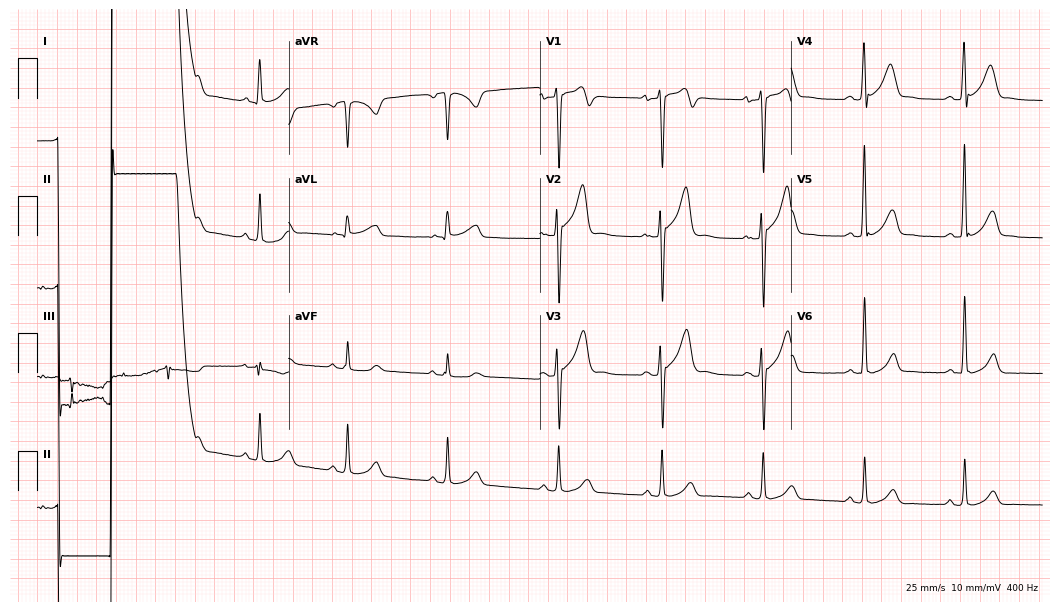
Electrocardiogram, a man, 32 years old. Of the six screened findings (first-degree AV block, right bundle branch block, left bundle branch block, sinus bradycardia, atrial fibrillation, sinus tachycardia), none is recorded.